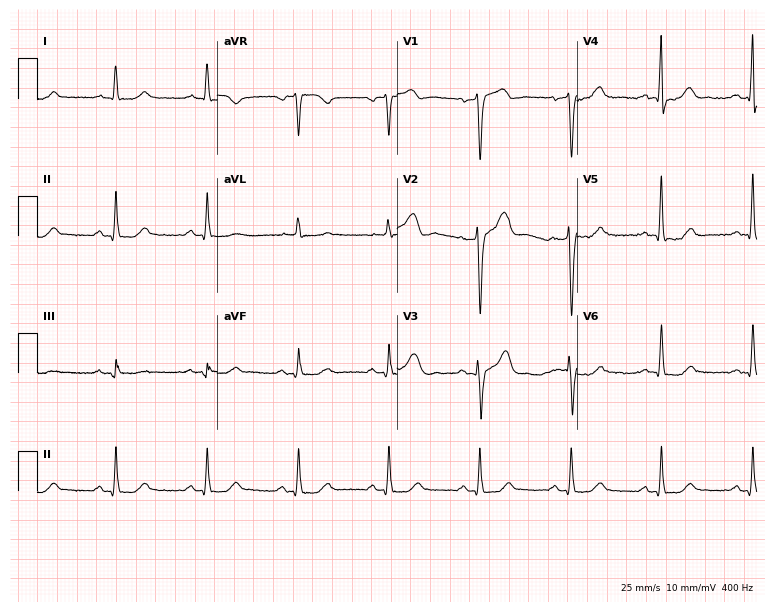
ECG — a 73-year-old male. Screened for six findings — first-degree AV block, right bundle branch block, left bundle branch block, sinus bradycardia, atrial fibrillation, sinus tachycardia — none is recorded.